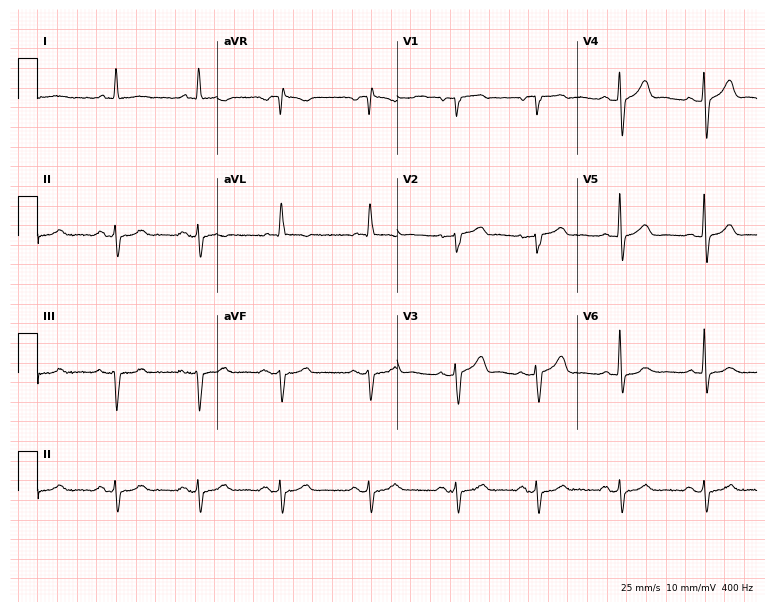
ECG — a male patient, 84 years old. Screened for six findings — first-degree AV block, right bundle branch block (RBBB), left bundle branch block (LBBB), sinus bradycardia, atrial fibrillation (AF), sinus tachycardia — none is recorded.